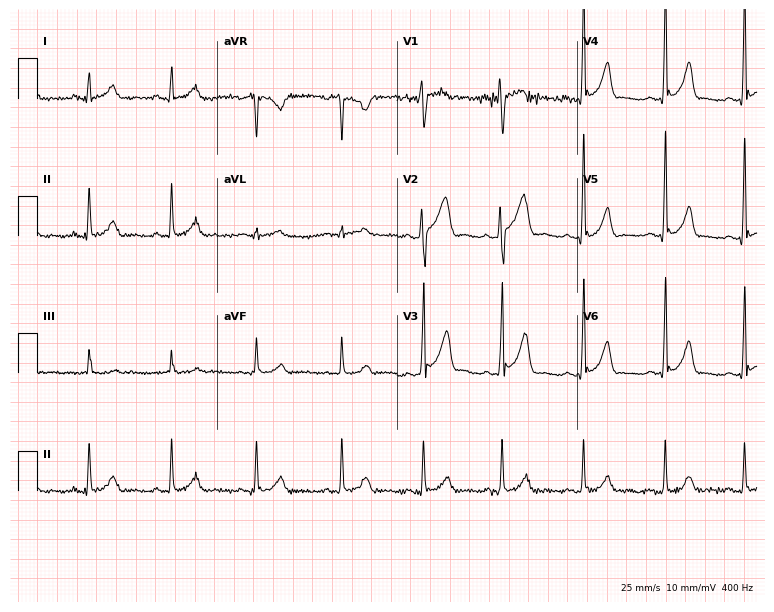
12-lead ECG from a 25-year-old male. Recorded interpretation: within normal limits.